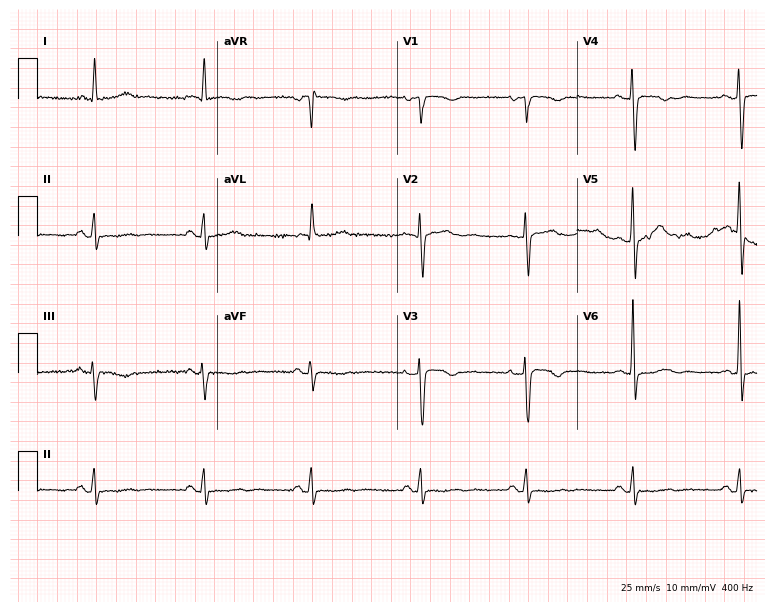
Resting 12-lead electrocardiogram. Patient: a 54-year-old female. None of these six findings is recorded: first-degree AV block, right bundle branch block, left bundle branch block, sinus bradycardia, atrial fibrillation, sinus tachycardia. Only these six findings were labelled.